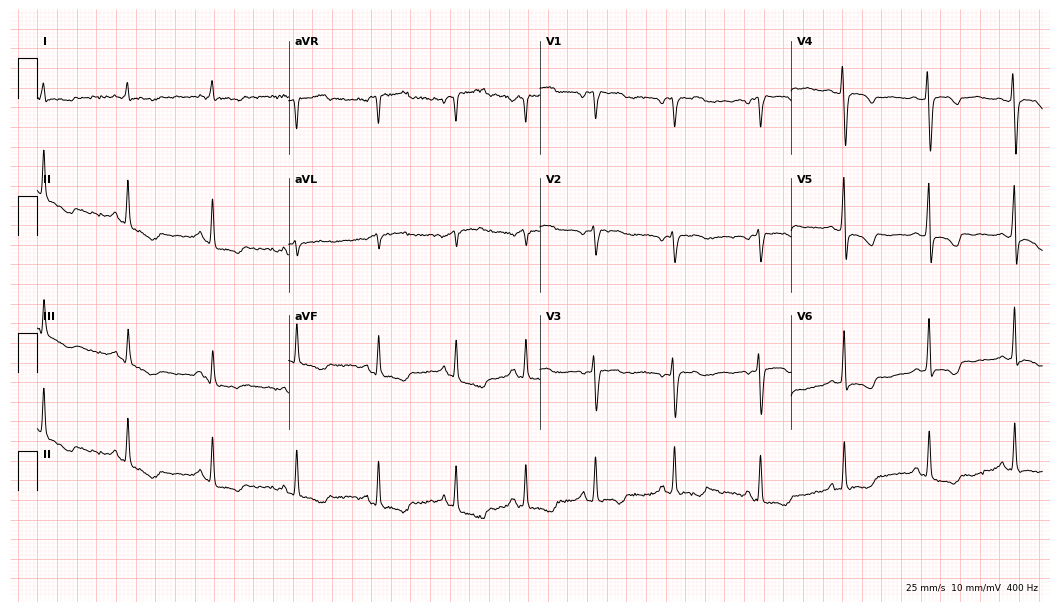
ECG — a woman, 48 years old. Screened for six findings — first-degree AV block, right bundle branch block, left bundle branch block, sinus bradycardia, atrial fibrillation, sinus tachycardia — none is recorded.